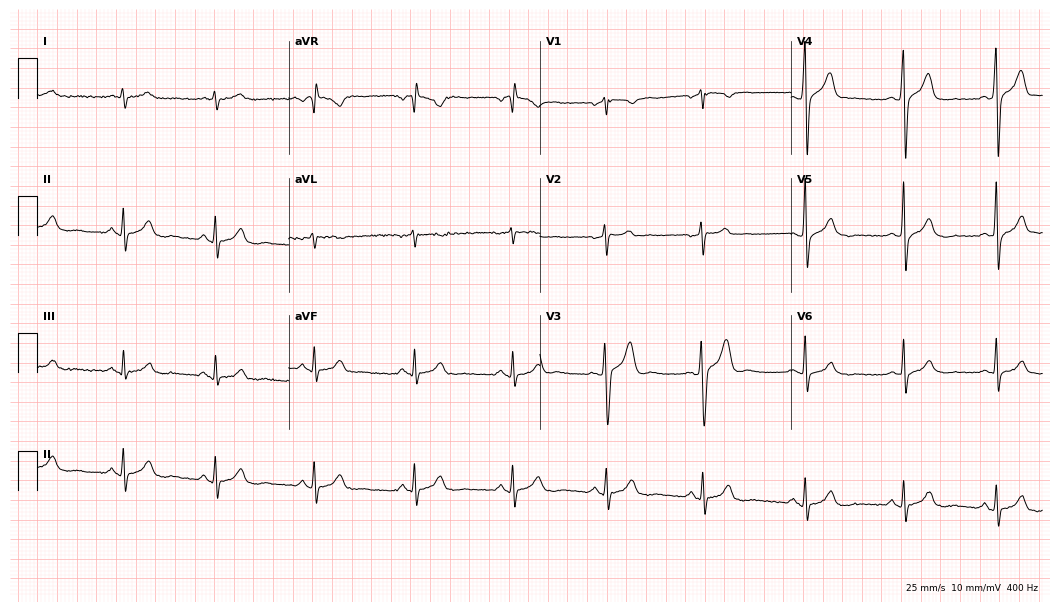
Resting 12-lead electrocardiogram (10.2-second recording at 400 Hz). Patient: a male, 39 years old. Read as a normal ECG.